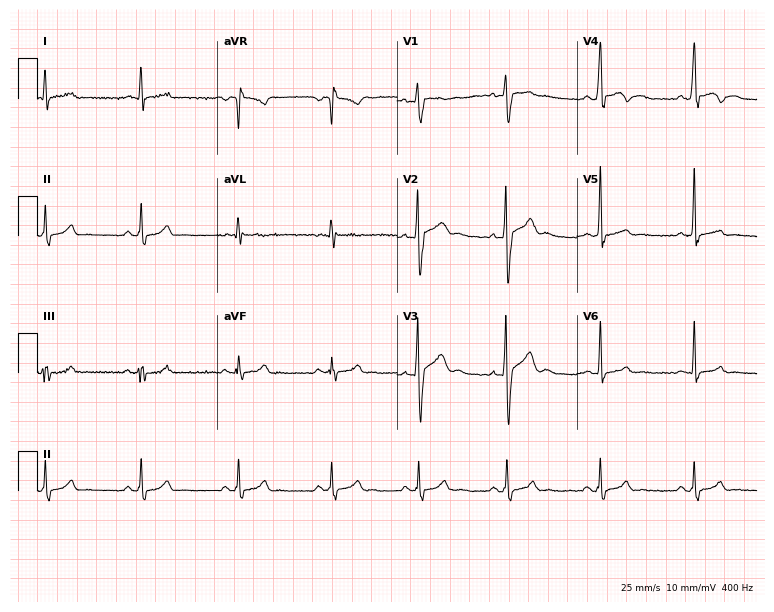
Standard 12-lead ECG recorded from a woman, 20 years old (7.3-second recording at 400 Hz). None of these six findings is recorded: first-degree AV block, right bundle branch block (RBBB), left bundle branch block (LBBB), sinus bradycardia, atrial fibrillation (AF), sinus tachycardia. Other findings, if any, are not listed.